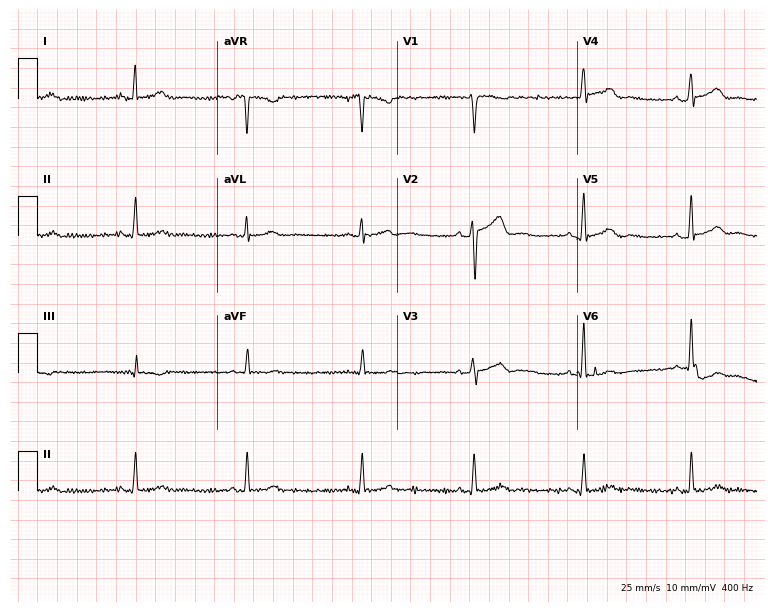
ECG — a 25-year-old man. Screened for six findings — first-degree AV block, right bundle branch block (RBBB), left bundle branch block (LBBB), sinus bradycardia, atrial fibrillation (AF), sinus tachycardia — none is recorded.